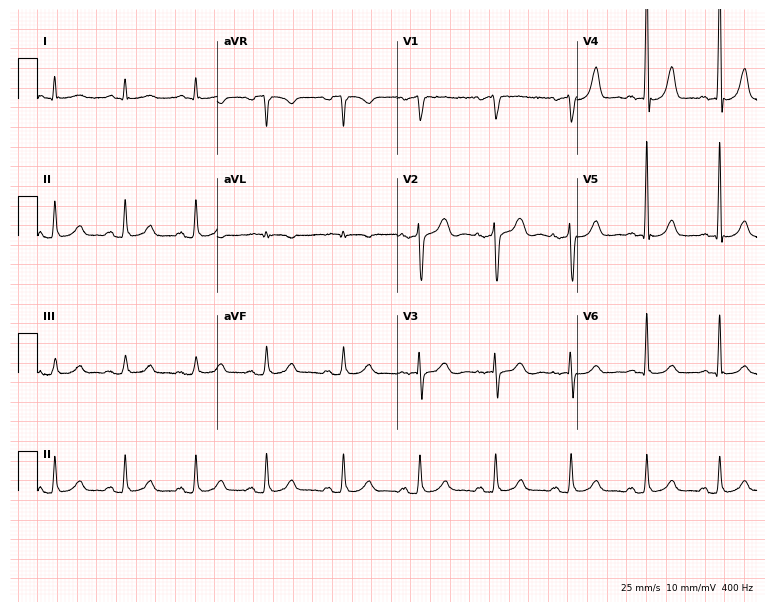
Standard 12-lead ECG recorded from a man, 67 years old. Read as a normal ECG.